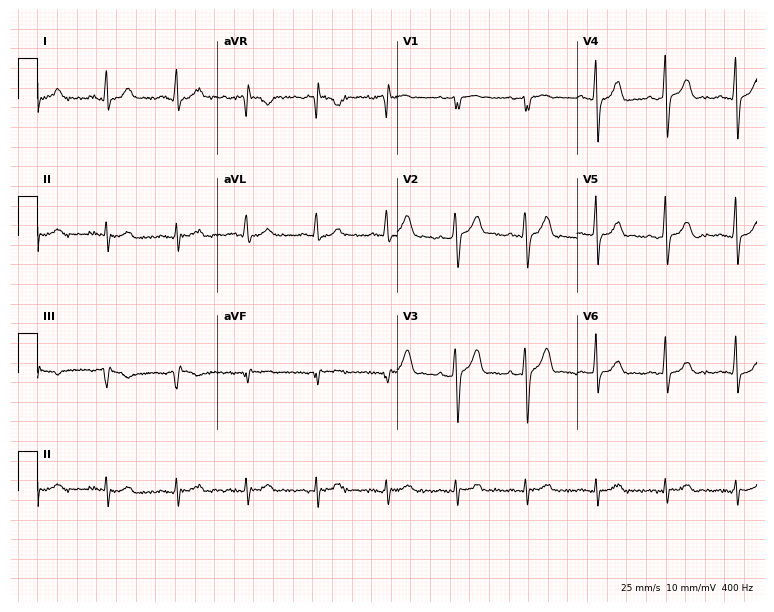
ECG (7.3-second recording at 400 Hz) — a 61-year-old male. Labelled as a normal ECG.